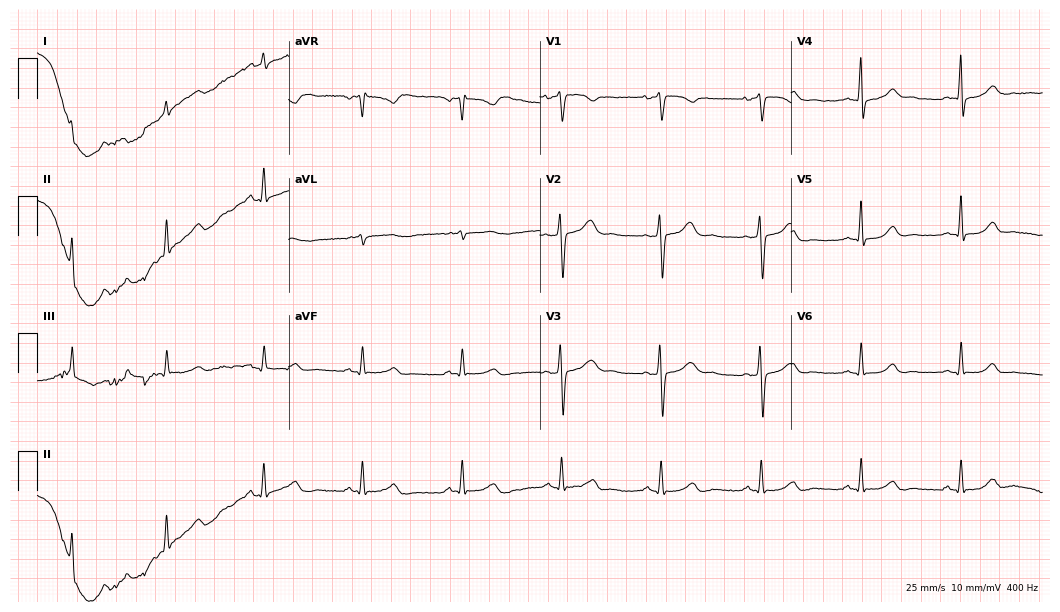
Standard 12-lead ECG recorded from a 48-year-old female (10.2-second recording at 400 Hz). None of these six findings is recorded: first-degree AV block, right bundle branch block, left bundle branch block, sinus bradycardia, atrial fibrillation, sinus tachycardia.